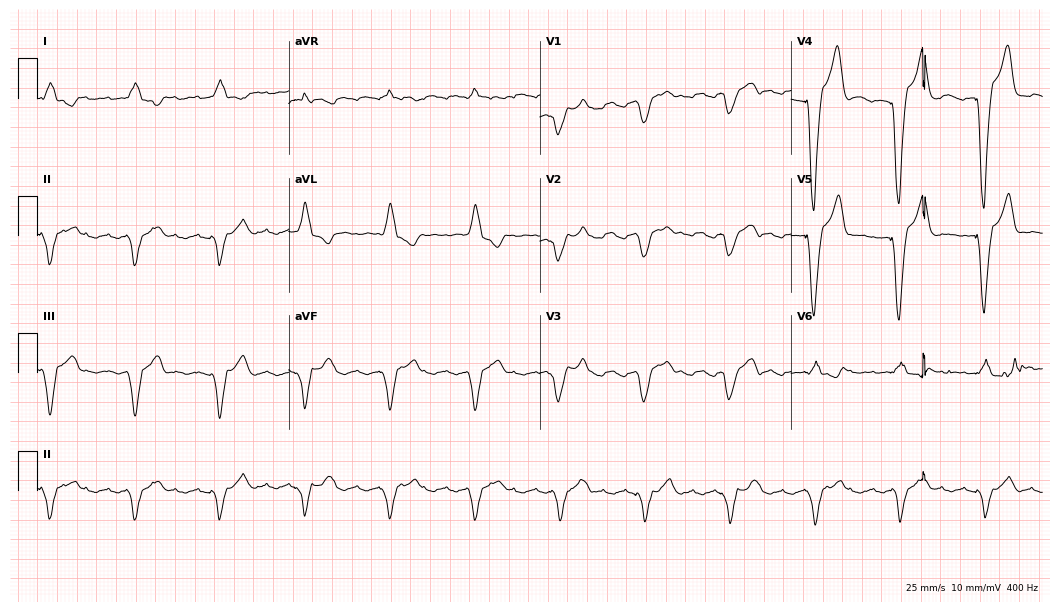
Standard 12-lead ECG recorded from a 79-year-old male patient. None of these six findings is recorded: first-degree AV block, right bundle branch block, left bundle branch block, sinus bradycardia, atrial fibrillation, sinus tachycardia. Only these six findings were labelled.